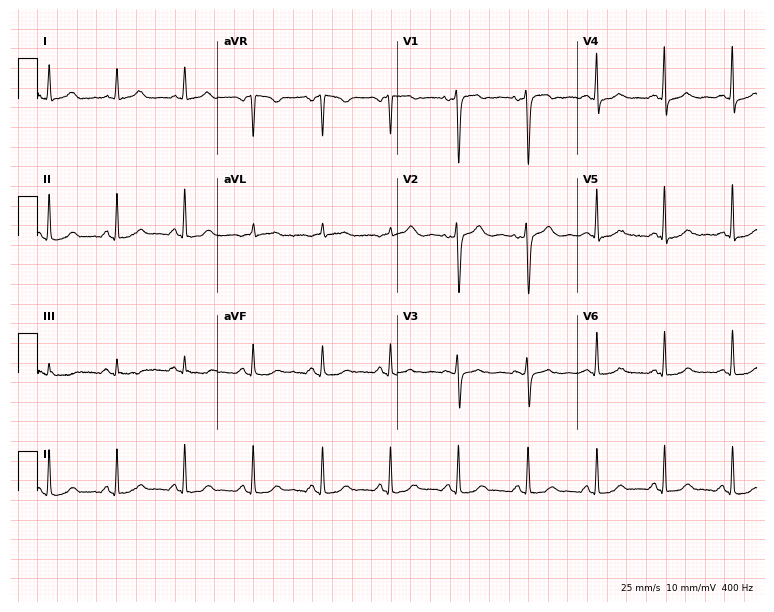
Electrocardiogram (7.3-second recording at 400 Hz), a 44-year-old woman. Of the six screened findings (first-degree AV block, right bundle branch block (RBBB), left bundle branch block (LBBB), sinus bradycardia, atrial fibrillation (AF), sinus tachycardia), none is recorded.